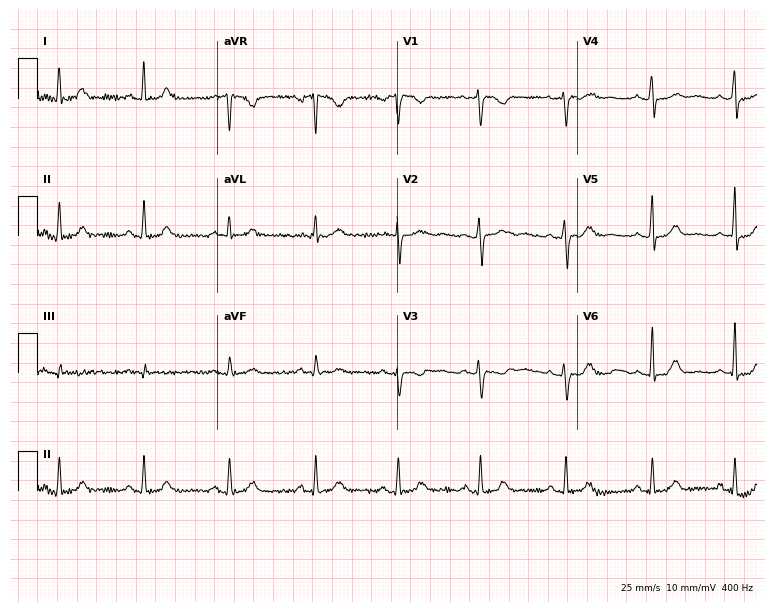
12-lead ECG from a female patient, 27 years old. Recorded interpretation: within normal limits.